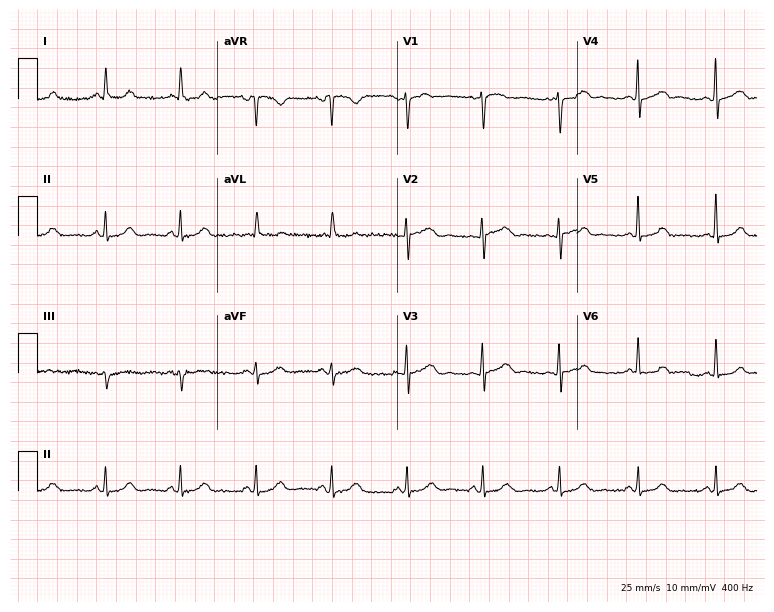
Electrocardiogram (7.3-second recording at 400 Hz), a female, 59 years old. Of the six screened findings (first-degree AV block, right bundle branch block (RBBB), left bundle branch block (LBBB), sinus bradycardia, atrial fibrillation (AF), sinus tachycardia), none is recorded. Only these six findings were labelled.